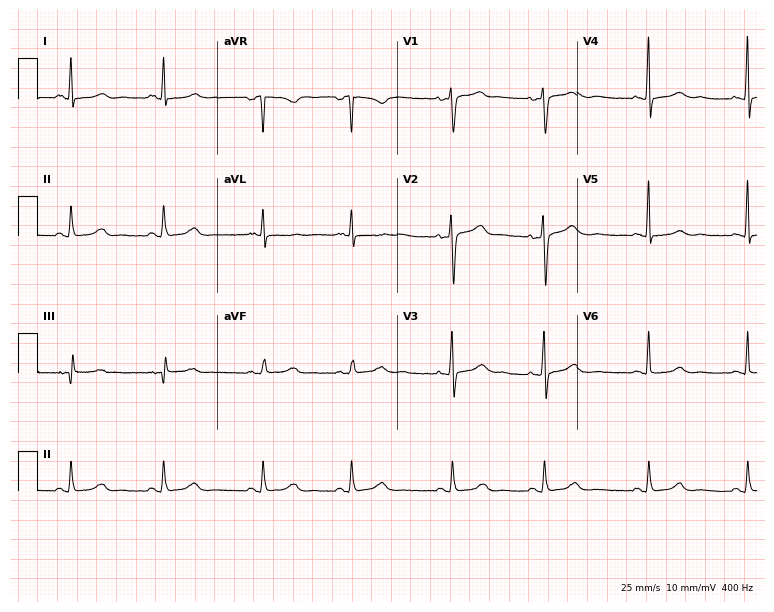
Resting 12-lead electrocardiogram. Patient: a female, 45 years old. Read as a normal ECG.